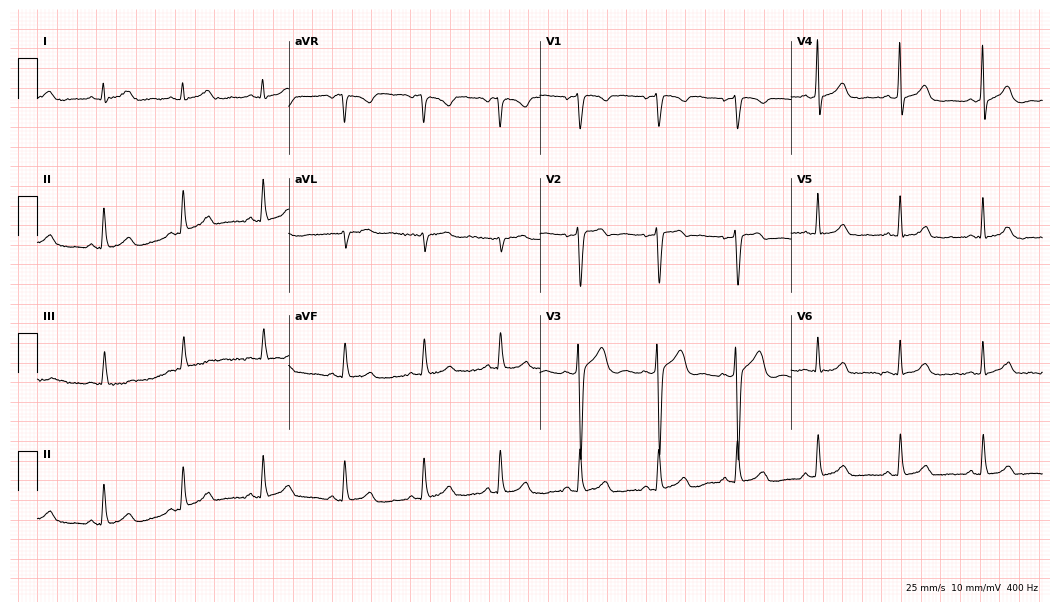
Resting 12-lead electrocardiogram (10.2-second recording at 400 Hz). Patient: a 33-year-old woman. Read as a normal ECG.